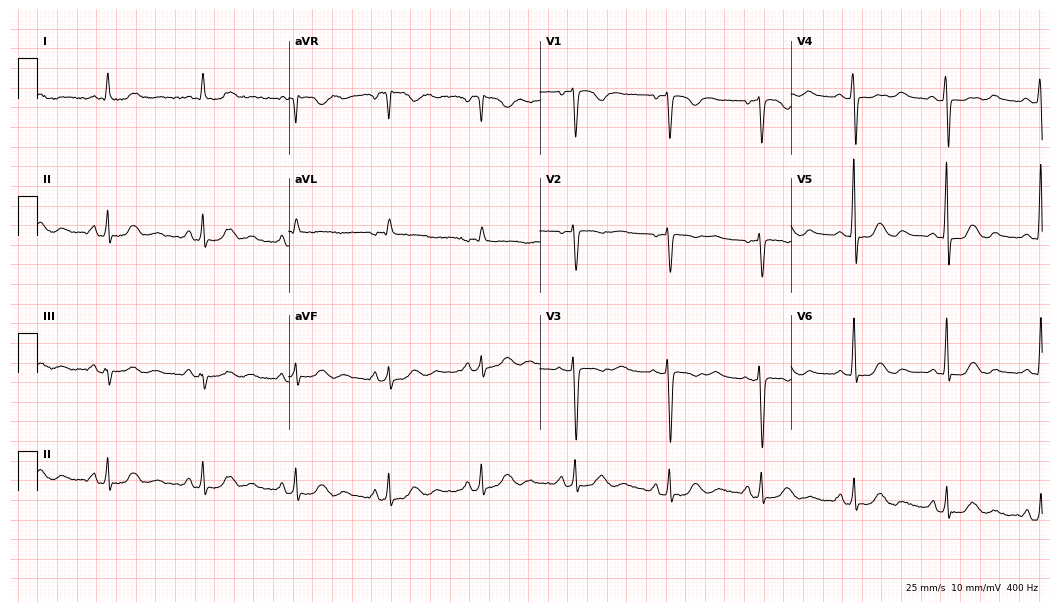
12-lead ECG from a 57-year-old woman. No first-degree AV block, right bundle branch block, left bundle branch block, sinus bradycardia, atrial fibrillation or sinus tachycardia recorded for this tracing. Only these six findings were labelled.